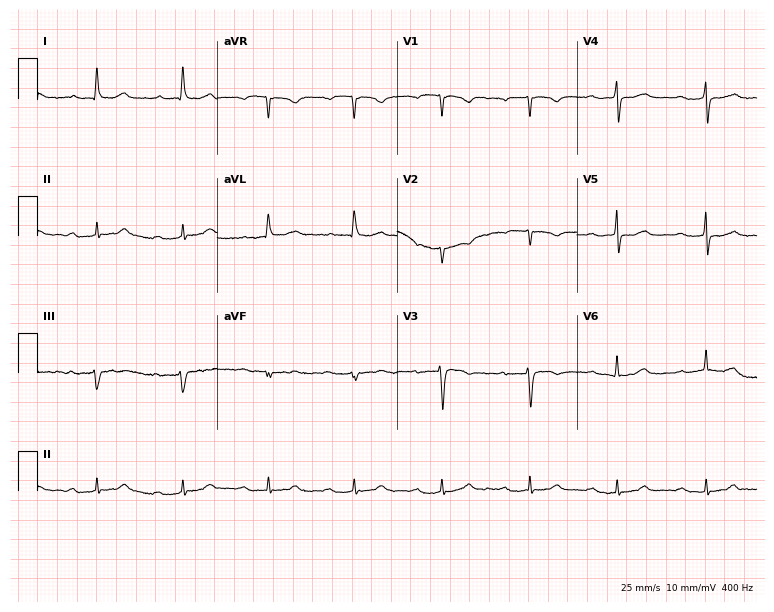
12-lead ECG from a 70-year-old woman (7.3-second recording at 400 Hz). Shows first-degree AV block.